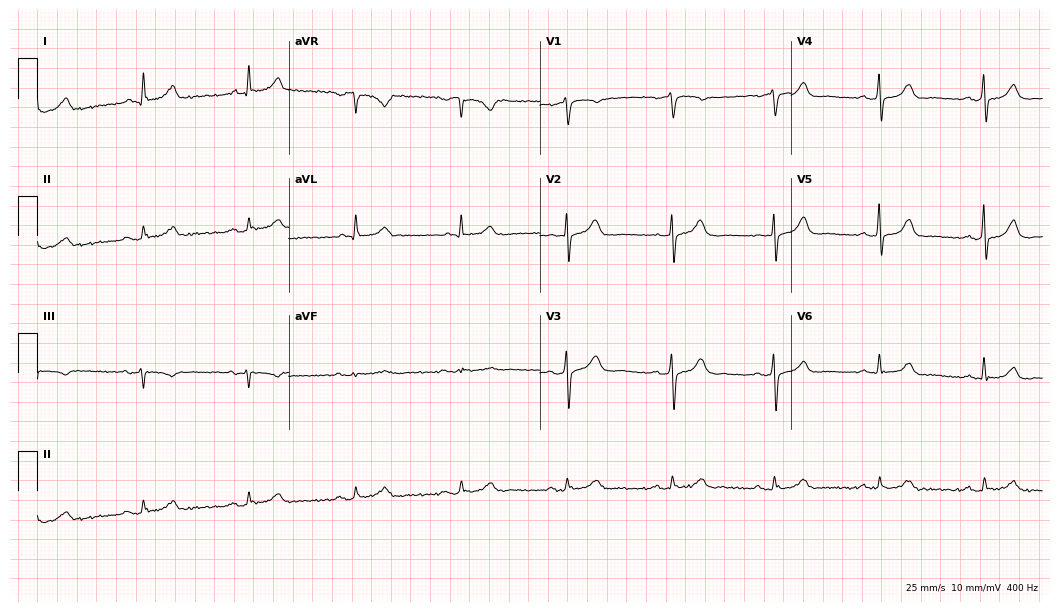
ECG — a 72-year-old male. Labelled as a normal ECG.